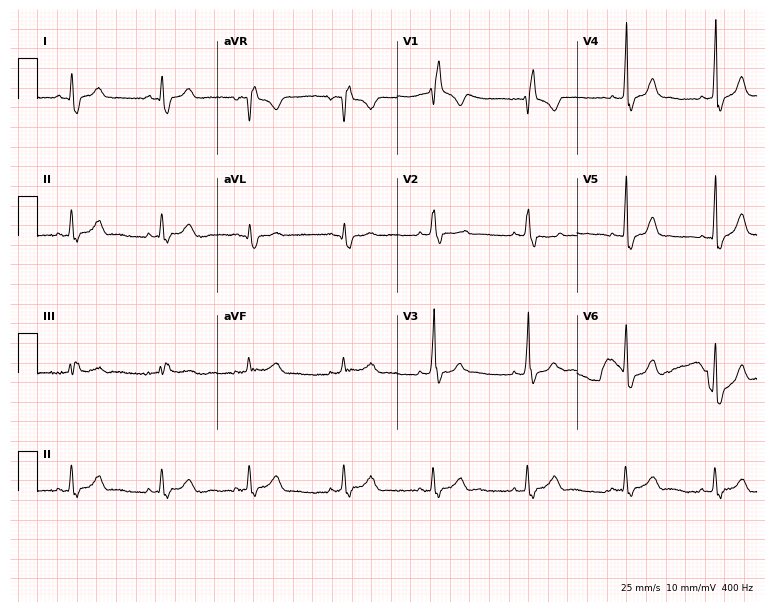
12-lead ECG (7.3-second recording at 400 Hz) from a 19-year-old female patient. Findings include right bundle branch block (RBBB).